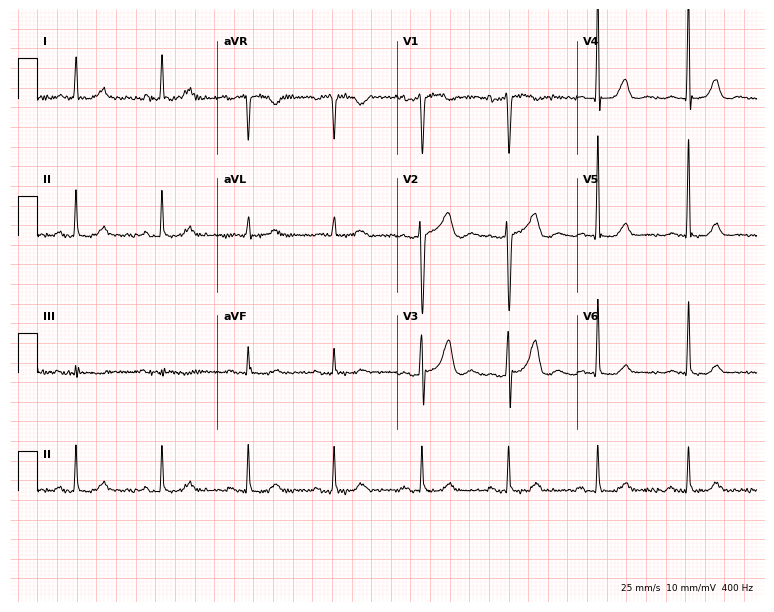
Electrocardiogram (7.3-second recording at 400 Hz), a 75-year-old female. Of the six screened findings (first-degree AV block, right bundle branch block, left bundle branch block, sinus bradycardia, atrial fibrillation, sinus tachycardia), none is recorded. Findings outside these six are not listed.